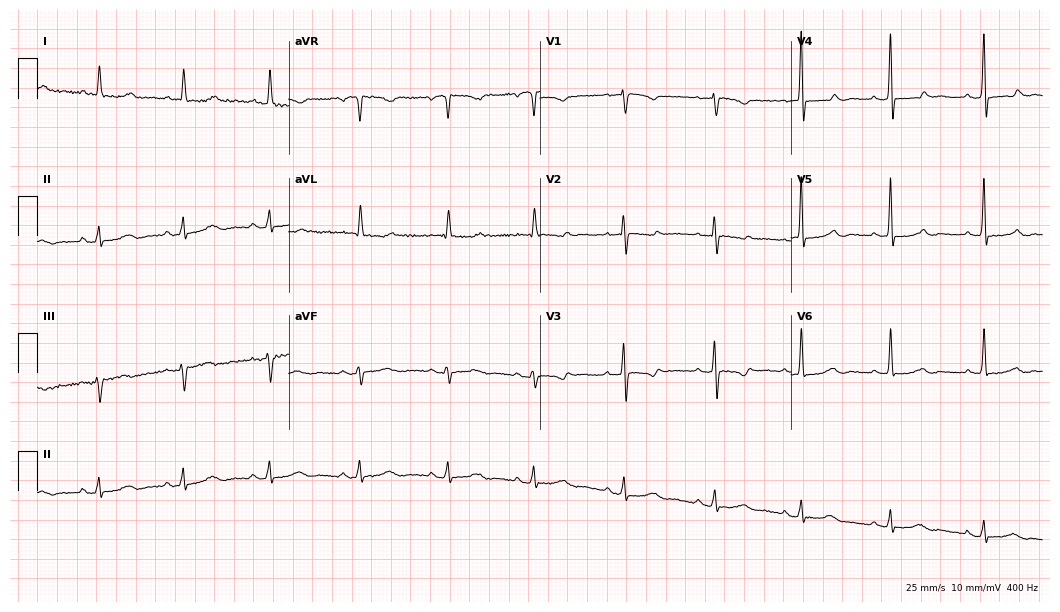
12-lead ECG from a female, 69 years old. Screened for six findings — first-degree AV block, right bundle branch block, left bundle branch block, sinus bradycardia, atrial fibrillation, sinus tachycardia — none is recorded. Other findings, if any, are not listed.